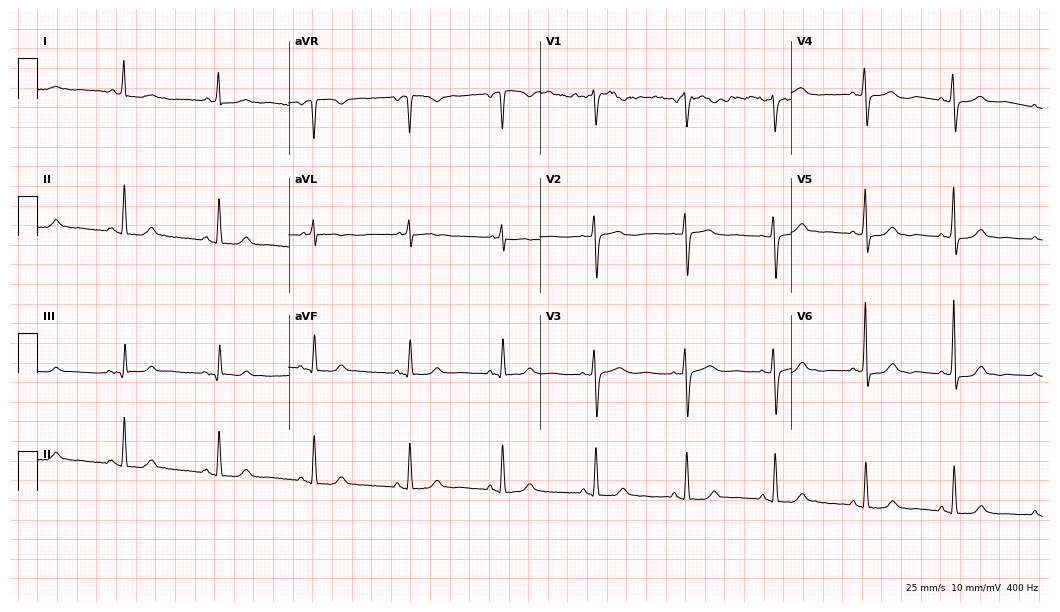
Standard 12-lead ECG recorded from a 75-year-old female patient (10.2-second recording at 400 Hz). Read as a normal ECG.